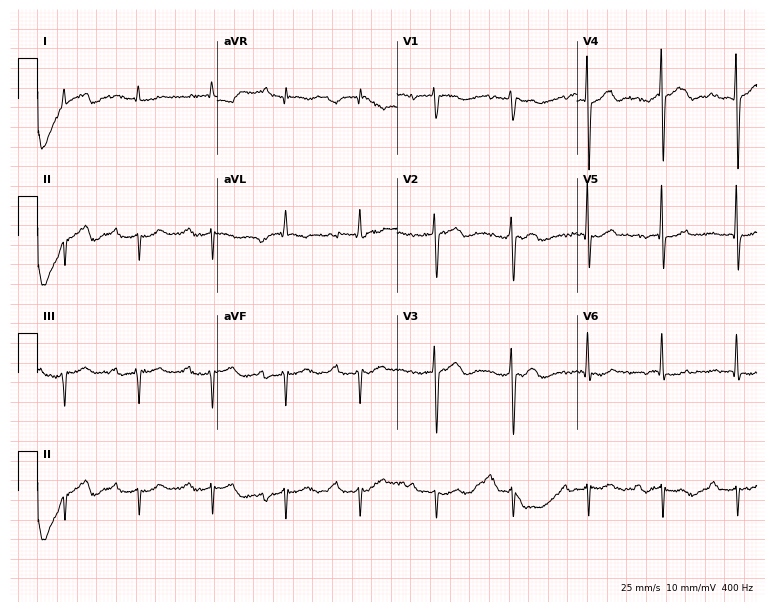
12-lead ECG (7.3-second recording at 400 Hz) from a 76-year-old man. Findings include first-degree AV block.